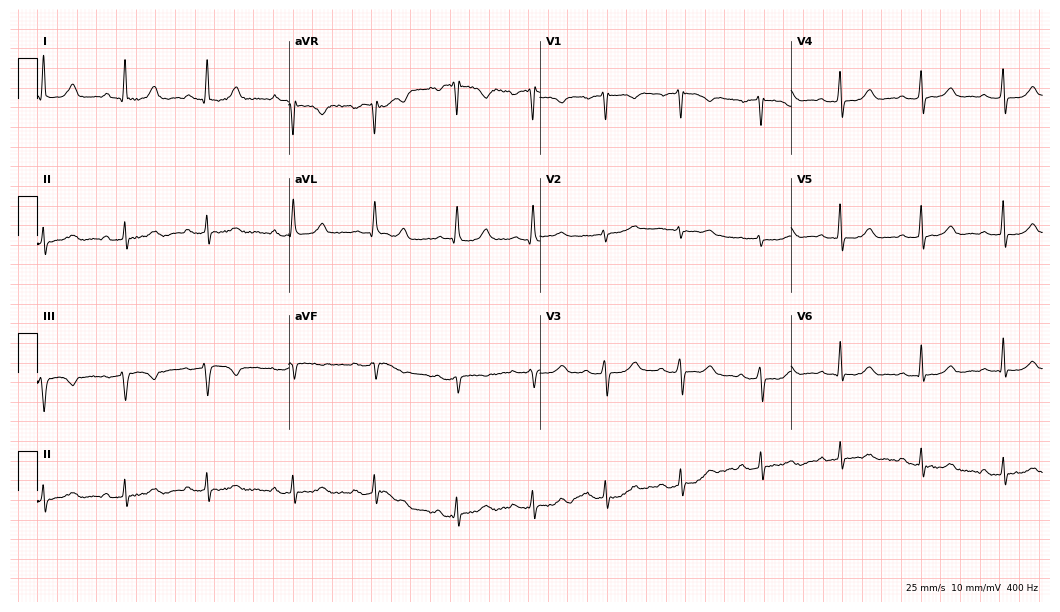
Resting 12-lead electrocardiogram (10.2-second recording at 400 Hz). Patient: a 51-year-old female. Read as a normal ECG.